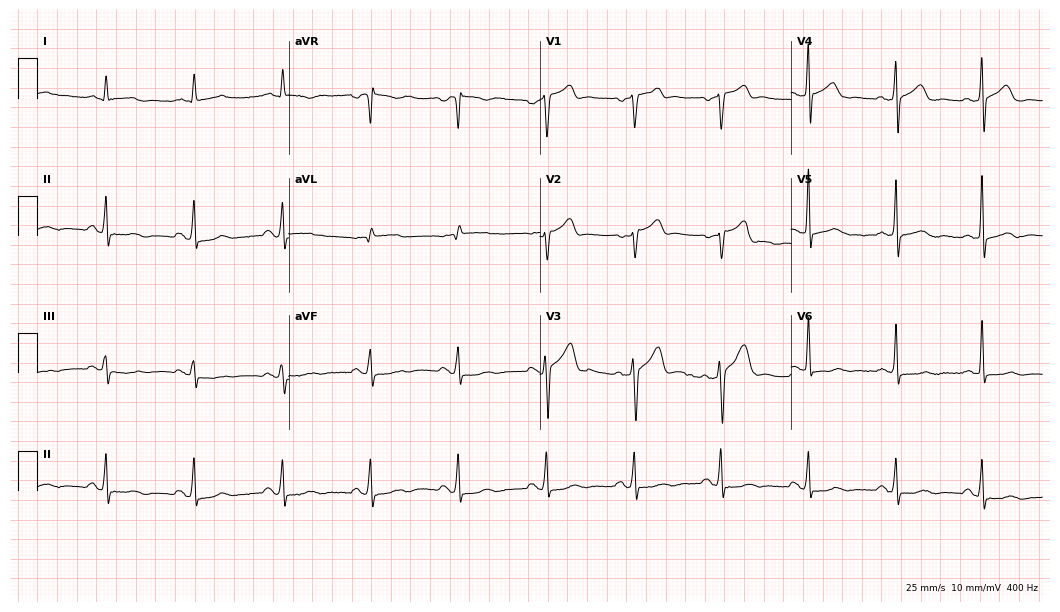
ECG (10.2-second recording at 400 Hz) — a 70-year-old male patient. Screened for six findings — first-degree AV block, right bundle branch block, left bundle branch block, sinus bradycardia, atrial fibrillation, sinus tachycardia — none is recorded. Other findings, if any, are not listed.